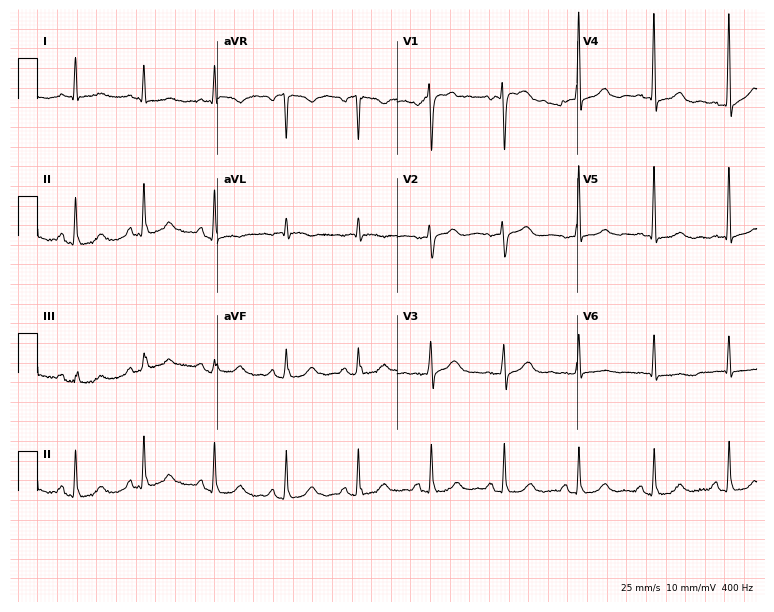
12-lead ECG from a 77-year-old woman. Recorded interpretation: within normal limits.